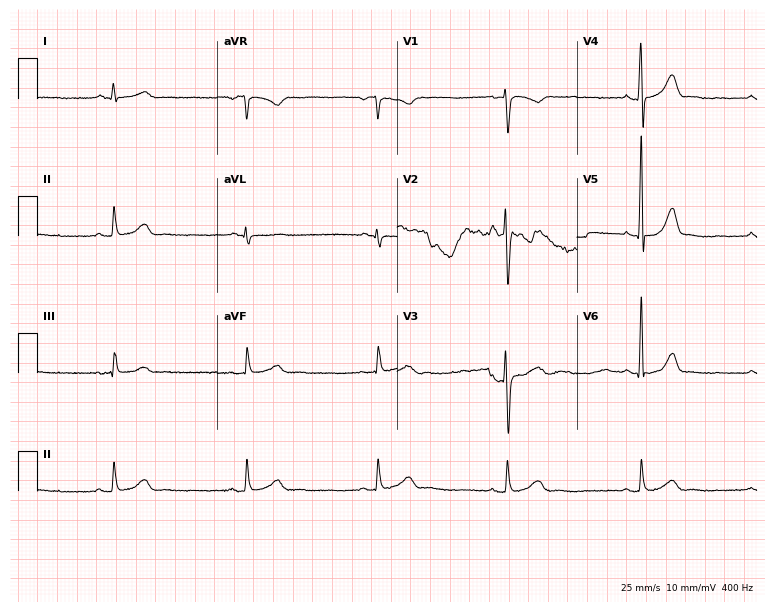
ECG — a 41-year-old male patient. Findings include sinus bradycardia (a sinus rate of 50 beats per minute or less).